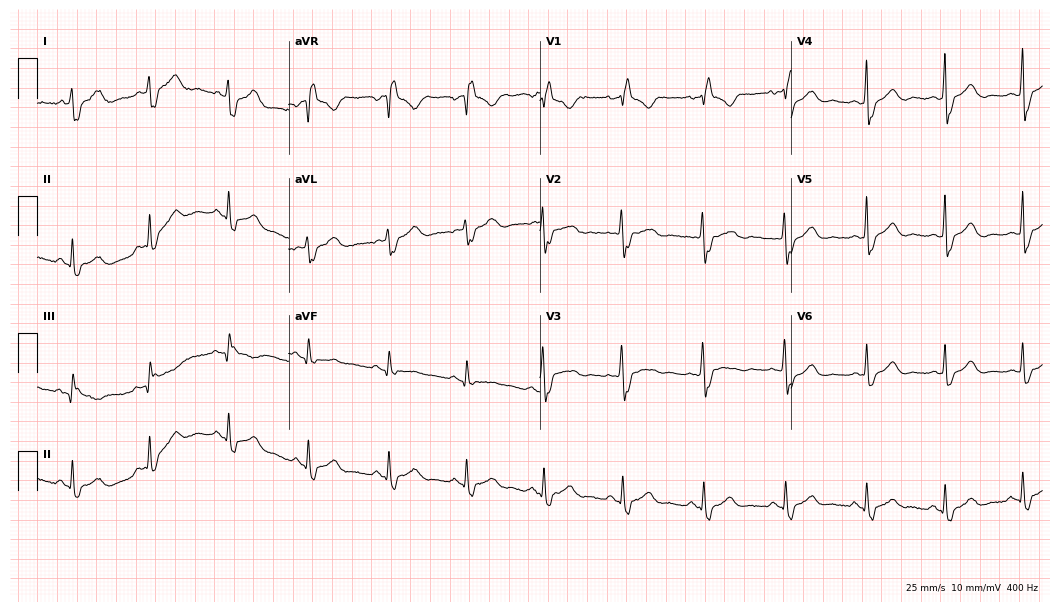
ECG (10.2-second recording at 400 Hz) — a woman, 39 years old. Findings include right bundle branch block.